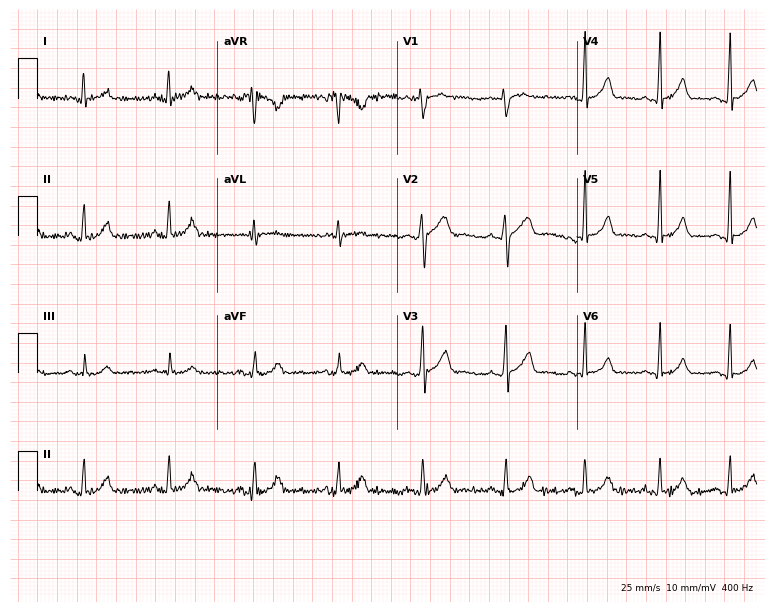
Resting 12-lead electrocardiogram. Patient: a female, 18 years old. None of these six findings is recorded: first-degree AV block, right bundle branch block (RBBB), left bundle branch block (LBBB), sinus bradycardia, atrial fibrillation (AF), sinus tachycardia. Only these six findings were labelled.